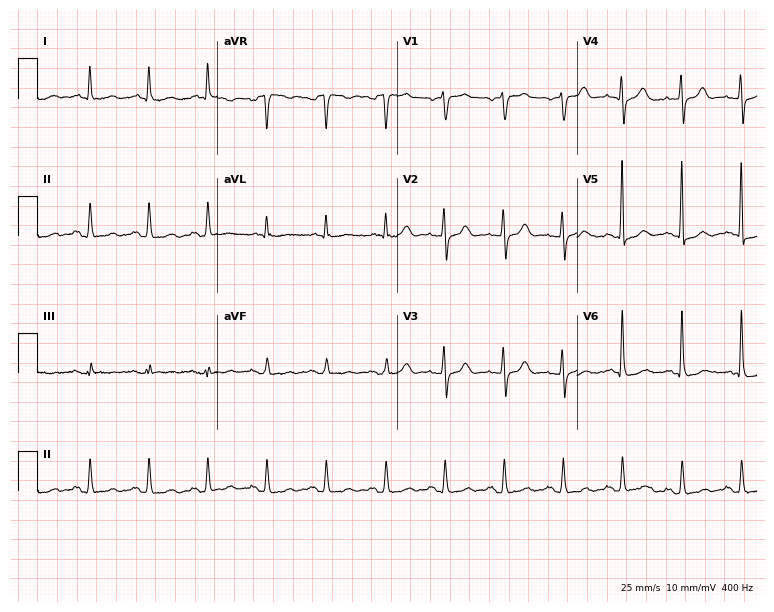
12-lead ECG (7.3-second recording at 400 Hz) from a male, 69 years old. Screened for six findings — first-degree AV block, right bundle branch block, left bundle branch block, sinus bradycardia, atrial fibrillation, sinus tachycardia — none is recorded.